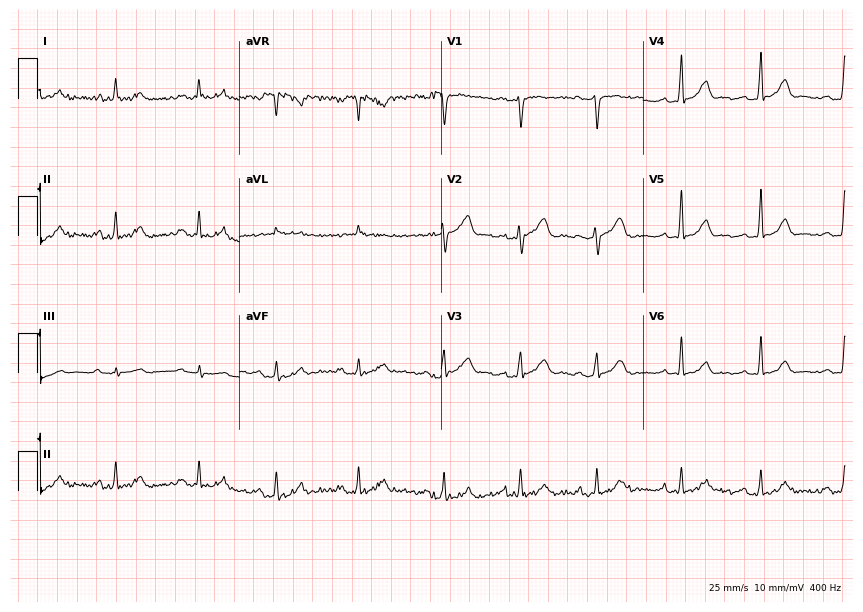
Standard 12-lead ECG recorded from a female patient, 25 years old (8.2-second recording at 400 Hz). None of these six findings is recorded: first-degree AV block, right bundle branch block (RBBB), left bundle branch block (LBBB), sinus bradycardia, atrial fibrillation (AF), sinus tachycardia. Only these six findings were labelled.